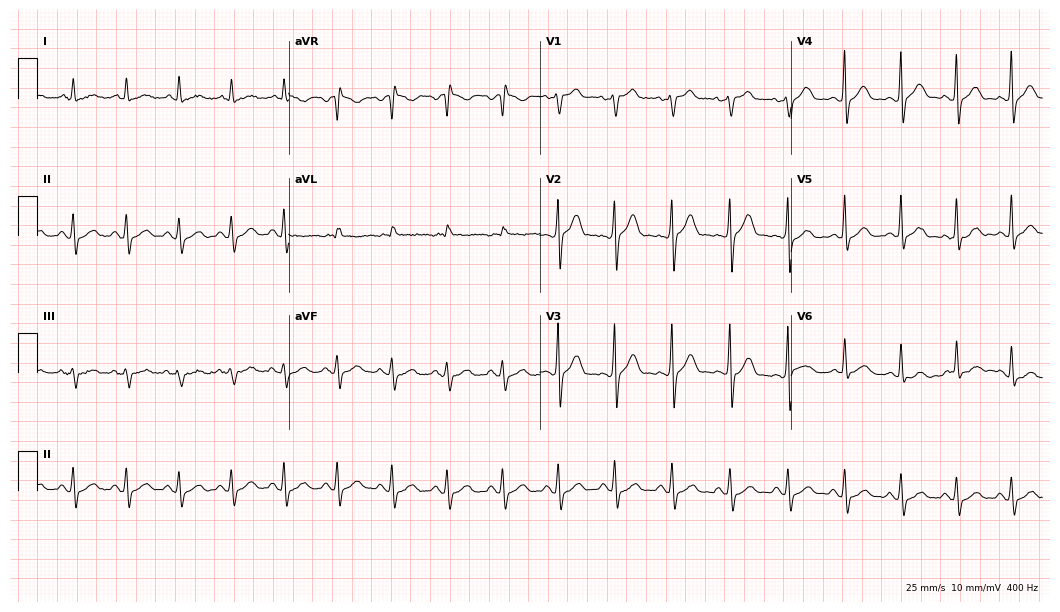
Standard 12-lead ECG recorded from a male patient, 60 years old (10.2-second recording at 400 Hz). The tracing shows sinus tachycardia (a sinus rate of 100 beats per minute or more).